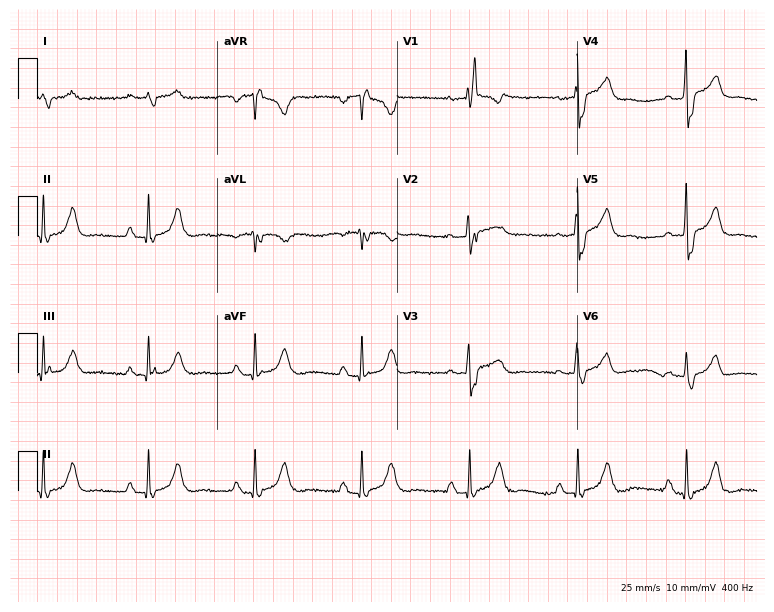
12-lead ECG (7.3-second recording at 400 Hz) from a man, 81 years old. Findings include right bundle branch block (RBBB).